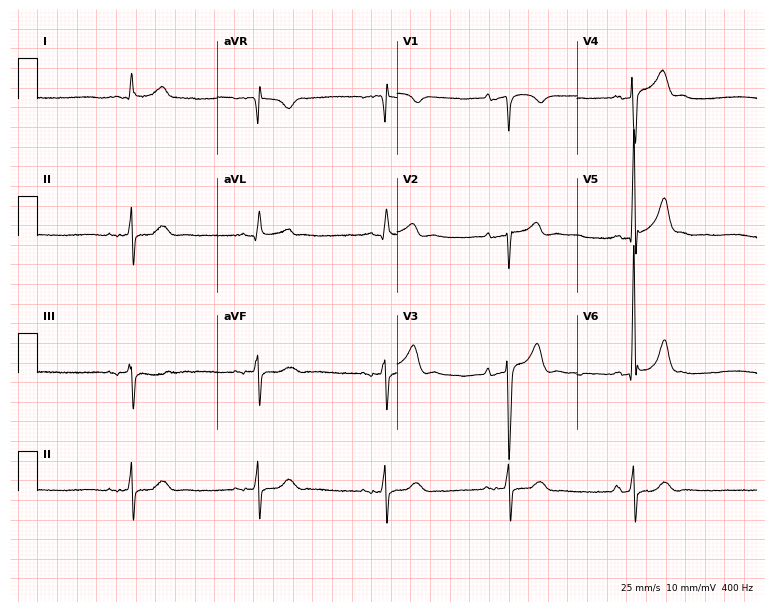
12-lead ECG (7.3-second recording at 400 Hz) from a 65-year-old male patient. Screened for six findings — first-degree AV block, right bundle branch block (RBBB), left bundle branch block (LBBB), sinus bradycardia, atrial fibrillation (AF), sinus tachycardia — none is recorded.